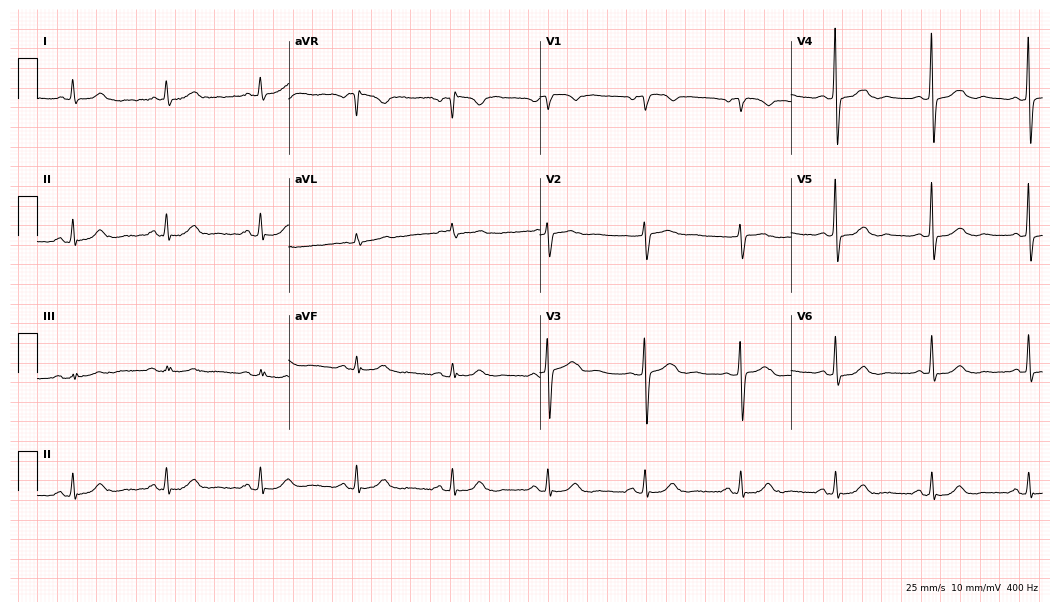
ECG — a female patient, 71 years old. Labelled as a normal ECG.